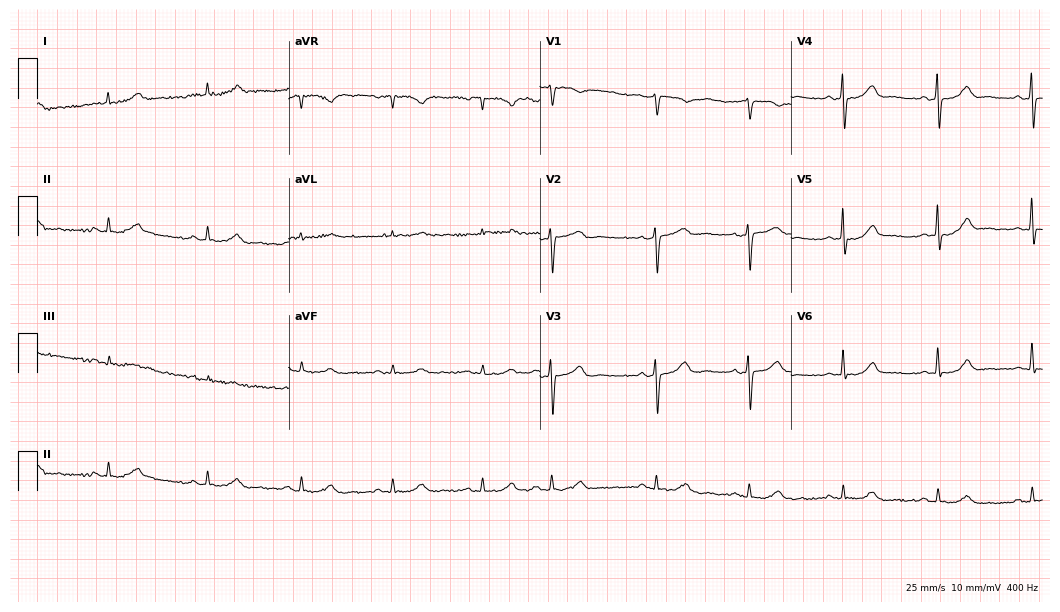
12-lead ECG from a man, 78 years old (10.2-second recording at 400 Hz). Recorded interpretation: within normal limits.